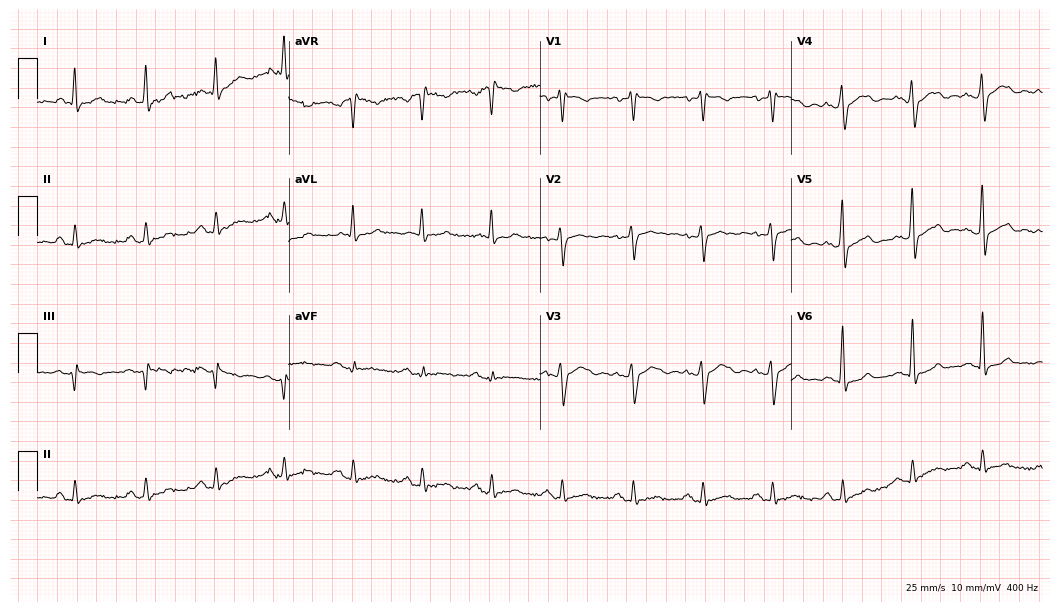
Resting 12-lead electrocardiogram. Patient: a male, 45 years old. None of these six findings is recorded: first-degree AV block, right bundle branch block, left bundle branch block, sinus bradycardia, atrial fibrillation, sinus tachycardia. Other findings, if any, are not listed.